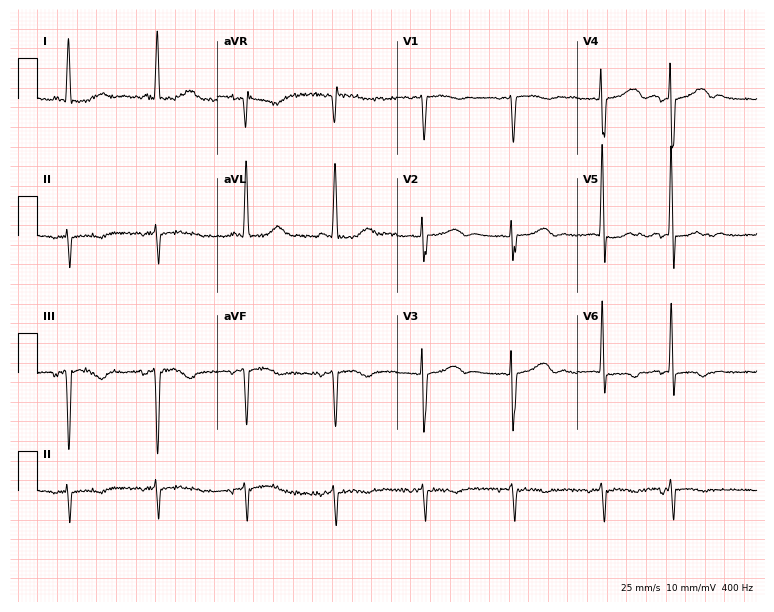
12-lead ECG (7.3-second recording at 400 Hz) from a woman, 85 years old. Screened for six findings — first-degree AV block, right bundle branch block, left bundle branch block, sinus bradycardia, atrial fibrillation, sinus tachycardia — none is recorded.